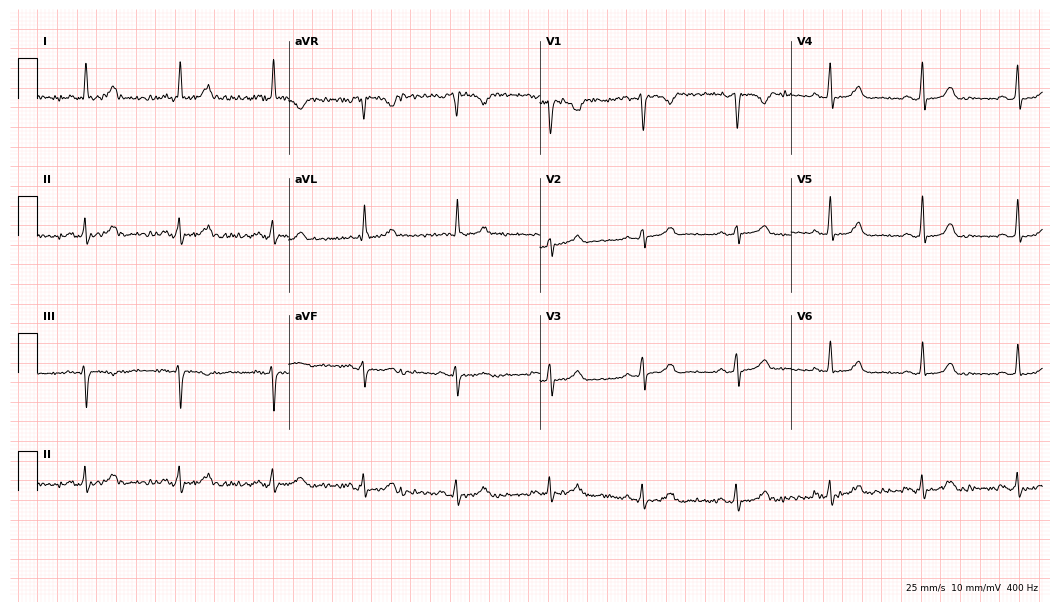
Standard 12-lead ECG recorded from a 41-year-old female patient. None of these six findings is recorded: first-degree AV block, right bundle branch block (RBBB), left bundle branch block (LBBB), sinus bradycardia, atrial fibrillation (AF), sinus tachycardia.